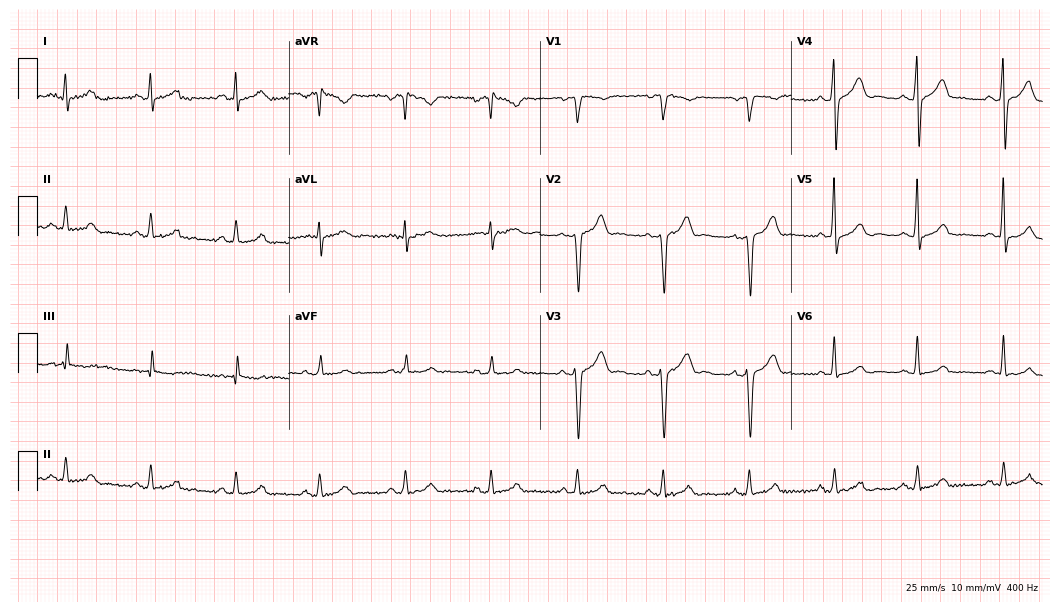
12-lead ECG from a 41-year-old male patient. Recorded interpretation: within normal limits.